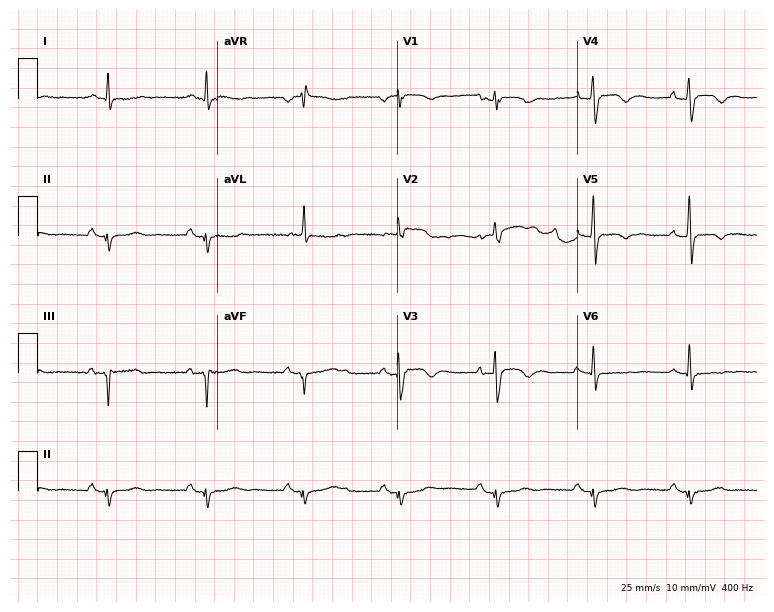
12-lead ECG (7.3-second recording at 400 Hz) from a male, 46 years old. Screened for six findings — first-degree AV block, right bundle branch block, left bundle branch block, sinus bradycardia, atrial fibrillation, sinus tachycardia — none is recorded. Only these six findings were labelled.